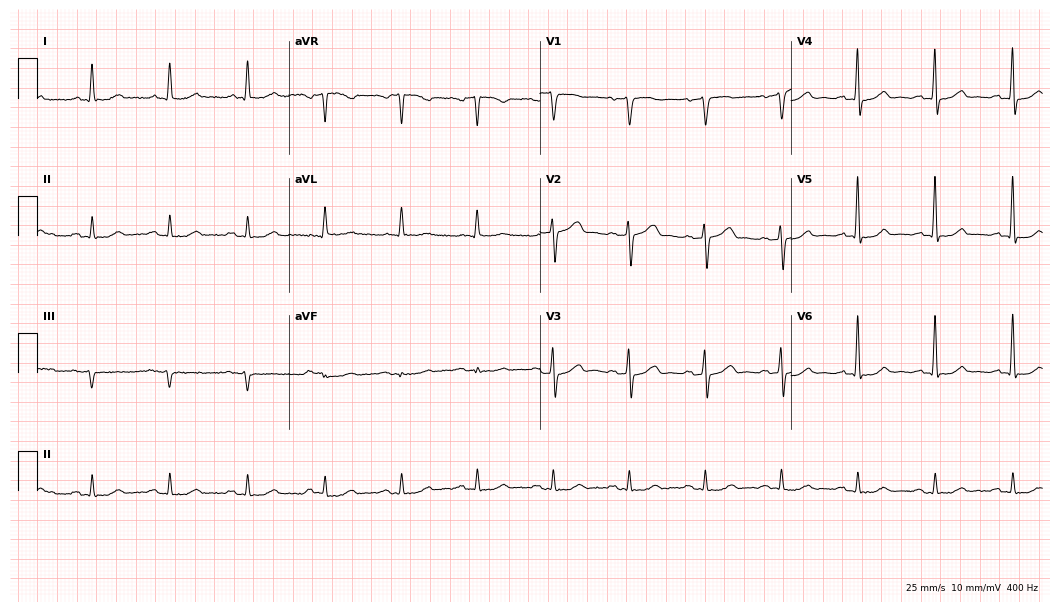
12-lead ECG from a 74-year-old man. No first-degree AV block, right bundle branch block (RBBB), left bundle branch block (LBBB), sinus bradycardia, atrial fibrillation (AF) or sinus tachycardia recorded for this tracing.